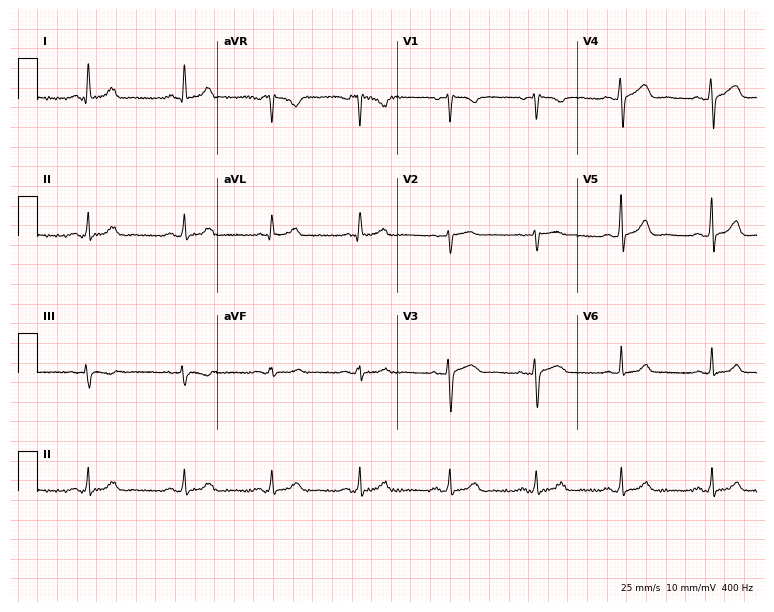
Resting 12-lead electrocardiogram. Patient: a female, 34 years old. Read as a normal ECG.